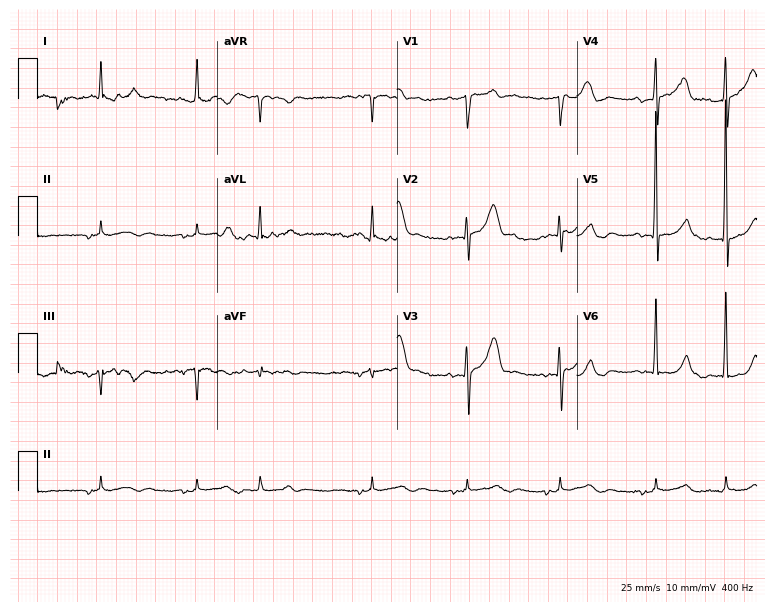
Electrocardiogram, a 74-year-old male. Of the six screened findings (first-degree AV block, right bundle branch block (RBBB), left bundle branch block (LBBB), sinus bradycardia, atrial fibrillation (AF), sinus tachycardia), none is recorded. Only these six findings were labelled.